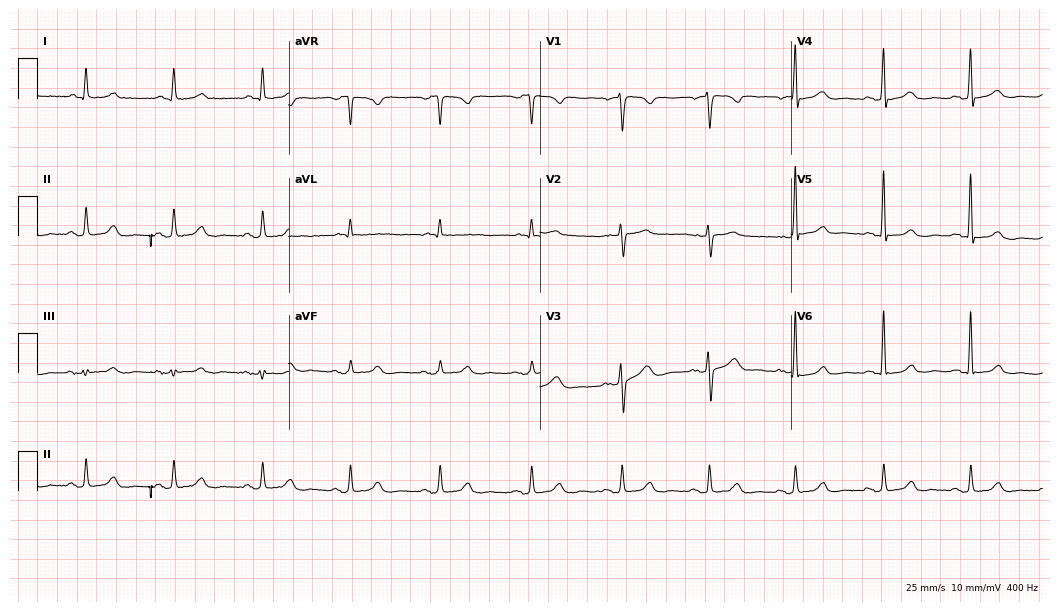
Resting 12-lead electrocardiogram. Patient: a female, 64 years old. Read as a normal ECG.